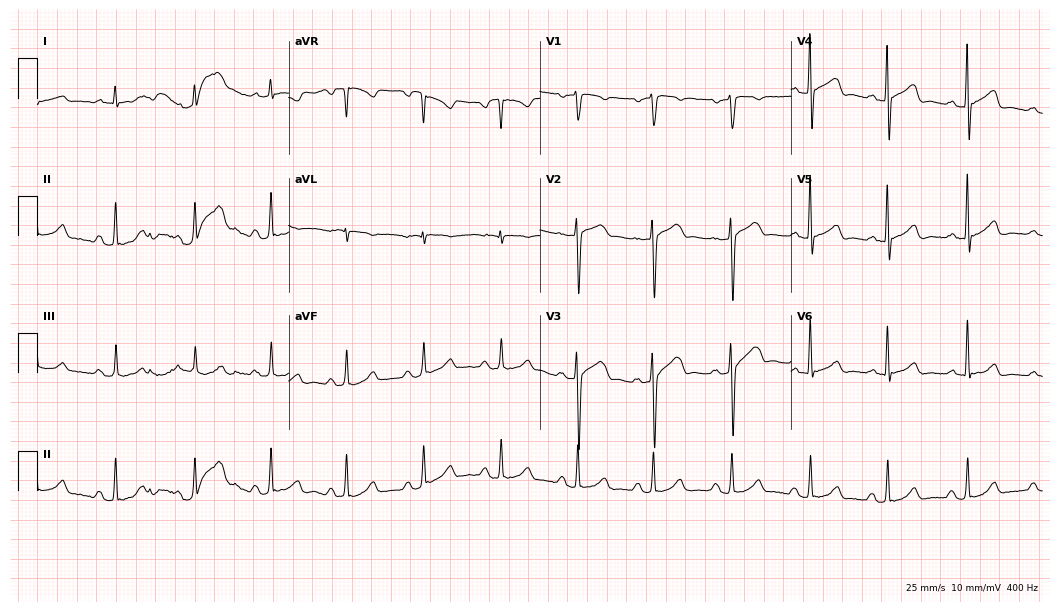
Resting 12-lead electrocardiogram. Patient: a 65-year-old male. Read as a normal ECG.